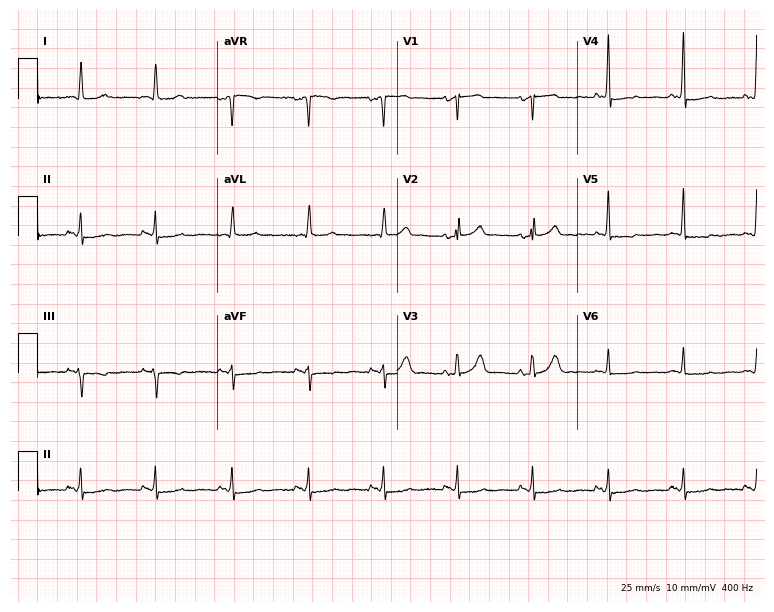
ECG (7.3-second recording at 400 Hz) — a 77-year-old female patient. Screened for six findings — first-degree AV block, right bundle branch block, left bundle branch block, sinus bradycardia, atrial fibrillation, sinus tachycardia — none is recorded.